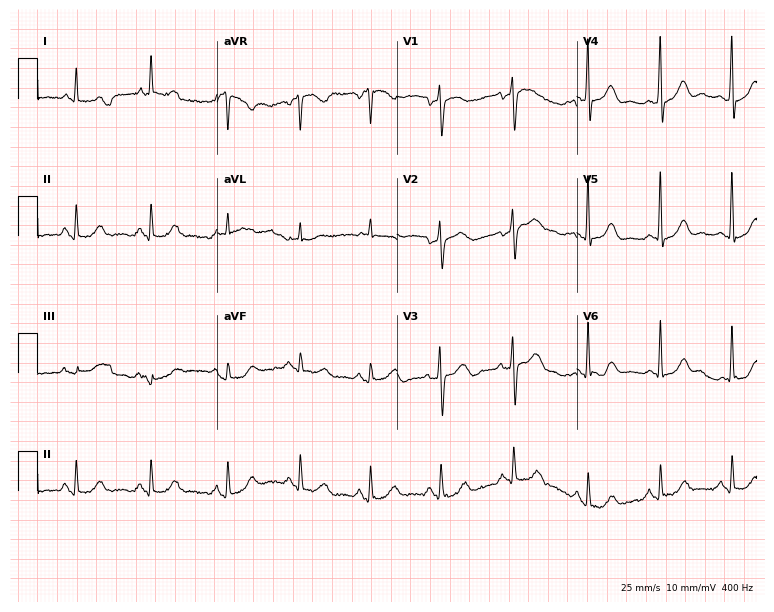
12-lead ECG from a 70-year-old female. Recorded interpretation: within normal limits.